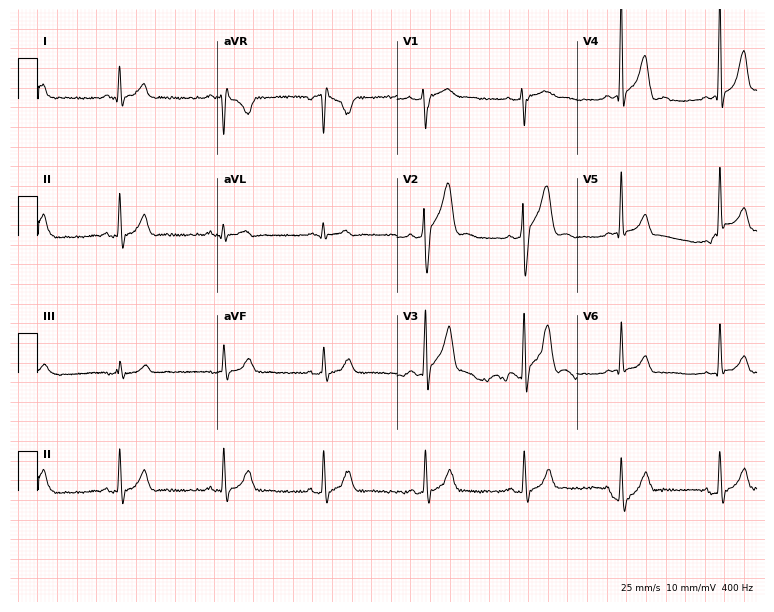
ECG (7.3-second recording at 400 Hz) — a man, 34 years old. Labelled as a normal ECG.